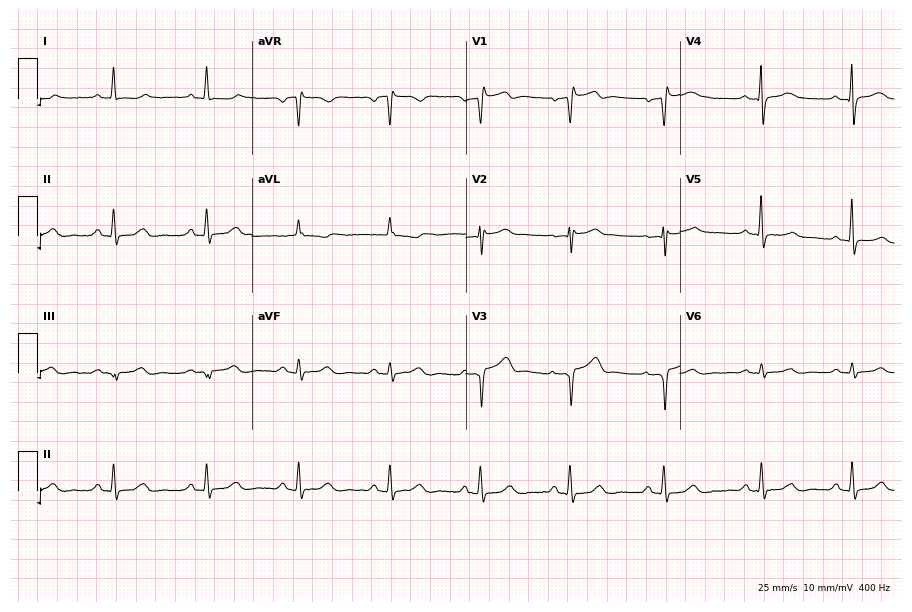
Resting 12-lead electrocardiogram (8.7-second recording at 400 Hz). Patient: a male, 56 years old. None of these six findings is recorded: first-degree AV block, right bundle branch block (RBBB), left bundle branch block (LBBB), sinus bradycardia, atrial fibrillation (AF), sinus tachycardia.